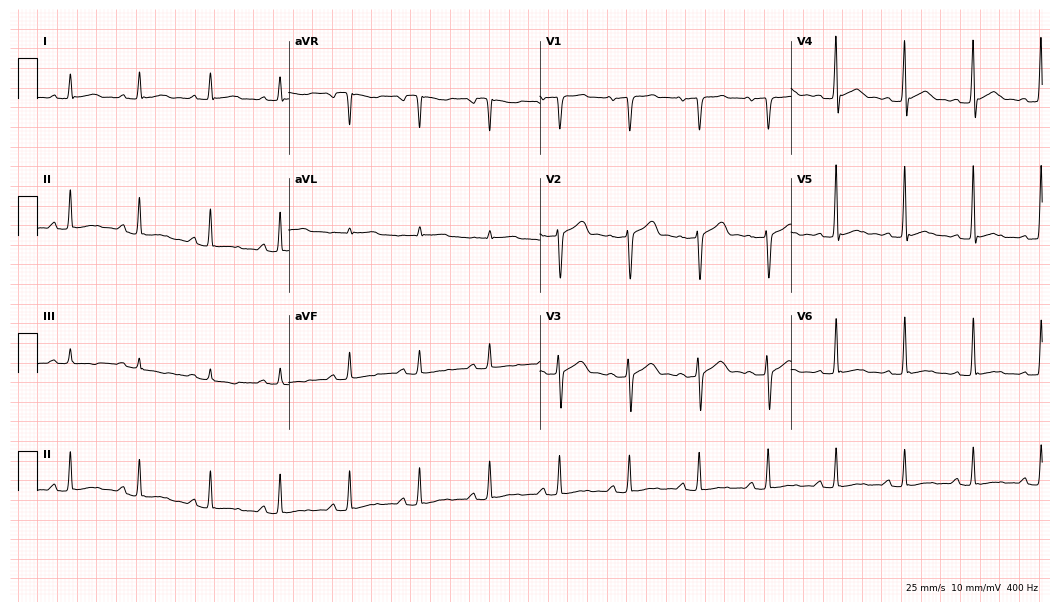
Electrocardiogram (10.2-second recording at 400 Hz), a man, 56 years old. Of the six screened findings (first-degree AV block, right bundle branch block, left bundle branch block, sinus bradycardia, atrial fibrillation, sinus tachycardia), none is recorded. Only these six findings were labelled.